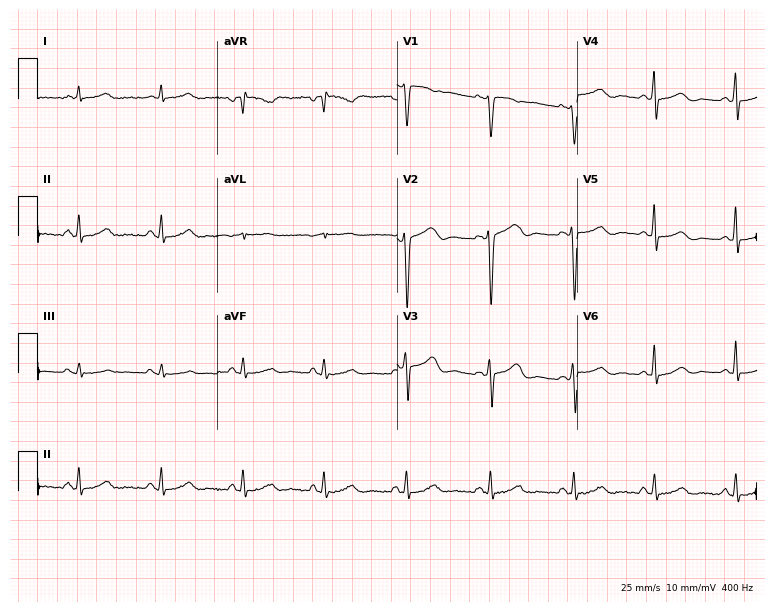
Standard 12-lead ECG recorded from a 46-year-old female. None of these six findings is recorded: first-degree AV block, right bundle branch block (RBBB), left bundle branch block (LBBB), sinus bradycardia, atrial fibrillation (AF), sinus tachycardia.